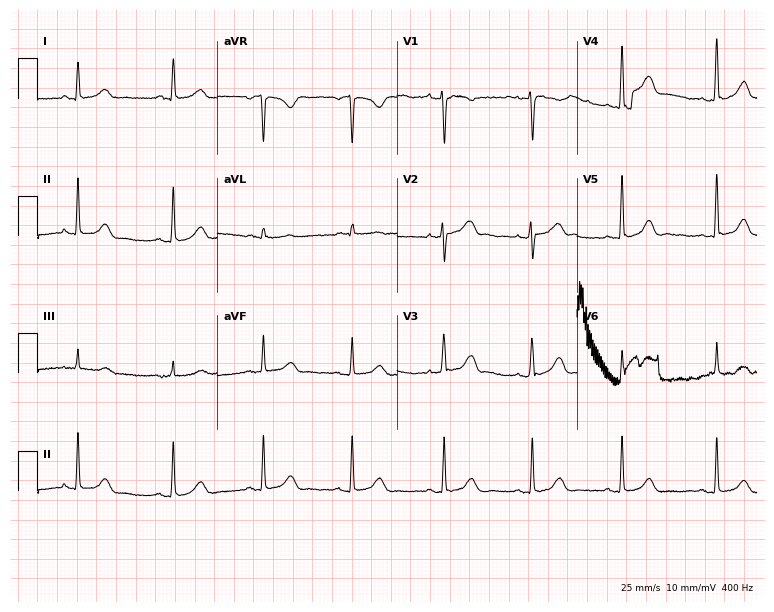
Resting 12-lead electrocardiogram. Patient: a female, 35 years old. None of these six findings is recorded: first-degree AV block, right bundle branch block (RBBB), left bundle branch block (LBBB), sinus bradycardia, atrial fibrillation (AF), sinus tachycardia.